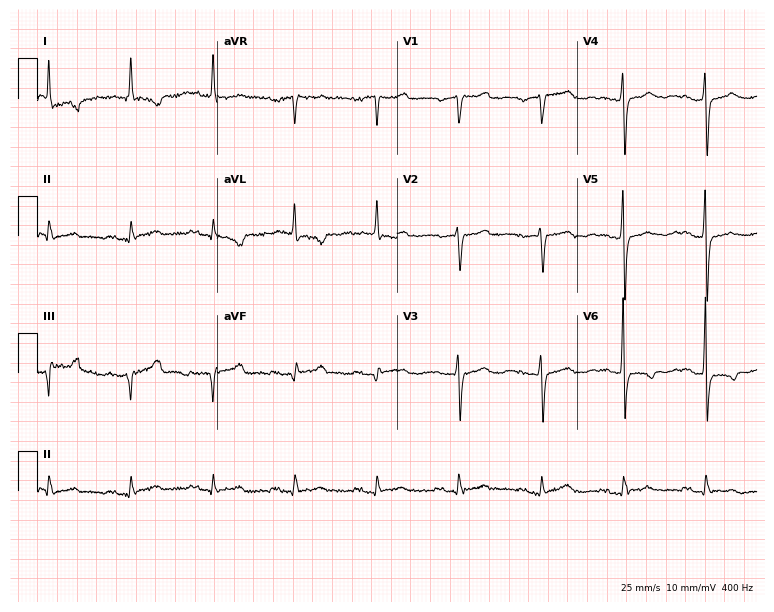
Electrocardiogram (7.3-second recording at 400 Hz), a female patient, 83 years old. Interpretation includes first-degree AV block.